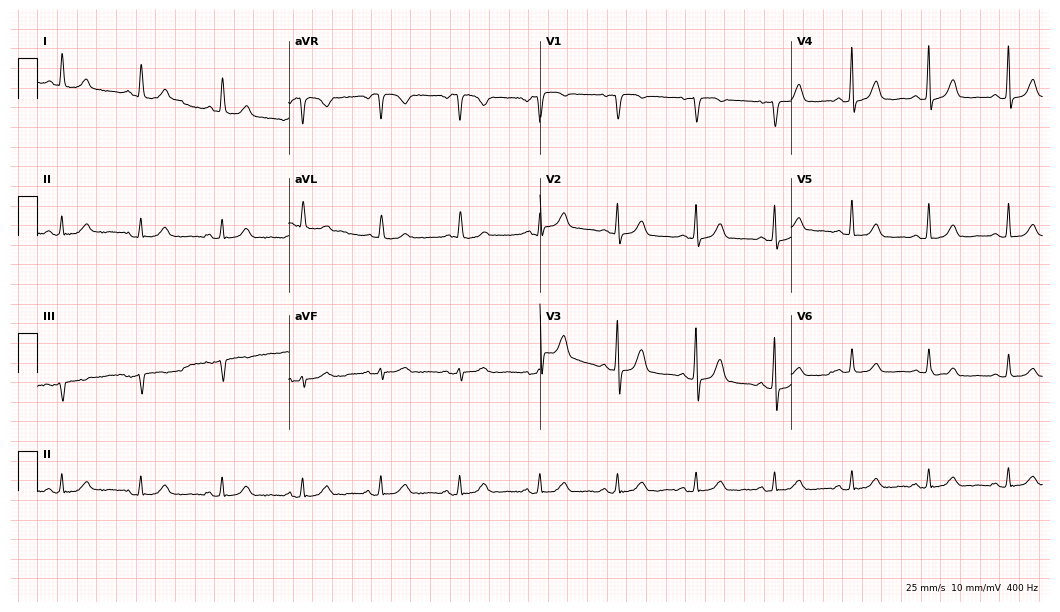
Standard 12-lead ECG recorded from a female patient, 76 years old (10.2-second recording at 400 Hz). Read as a normal ECG.